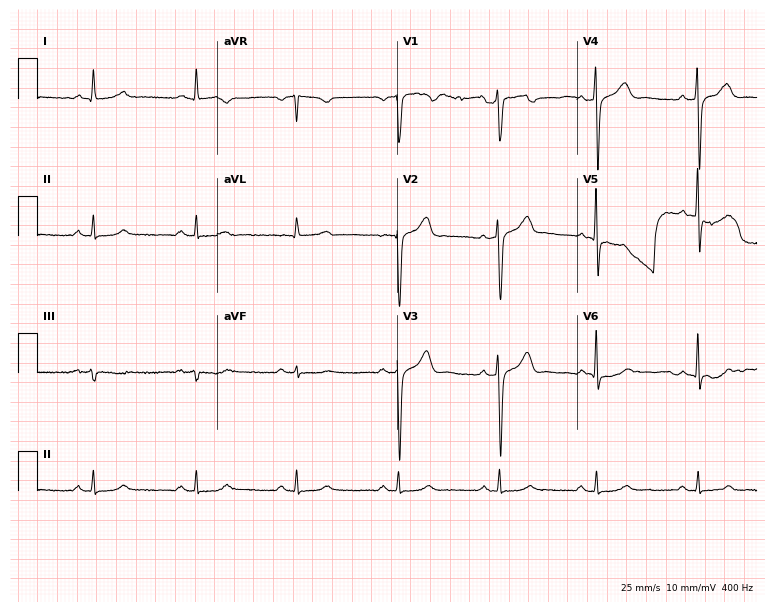
ECG (7.3-second recording at 400 Hz) — a 64-year-old man. Screened for six findings — first-degree AV block, right bundle branch block (RBBB), left bundle branch block (LBBB), sinus bradycardia, atrial fibrillation (AF), sinus tachycardia — none is recorded.